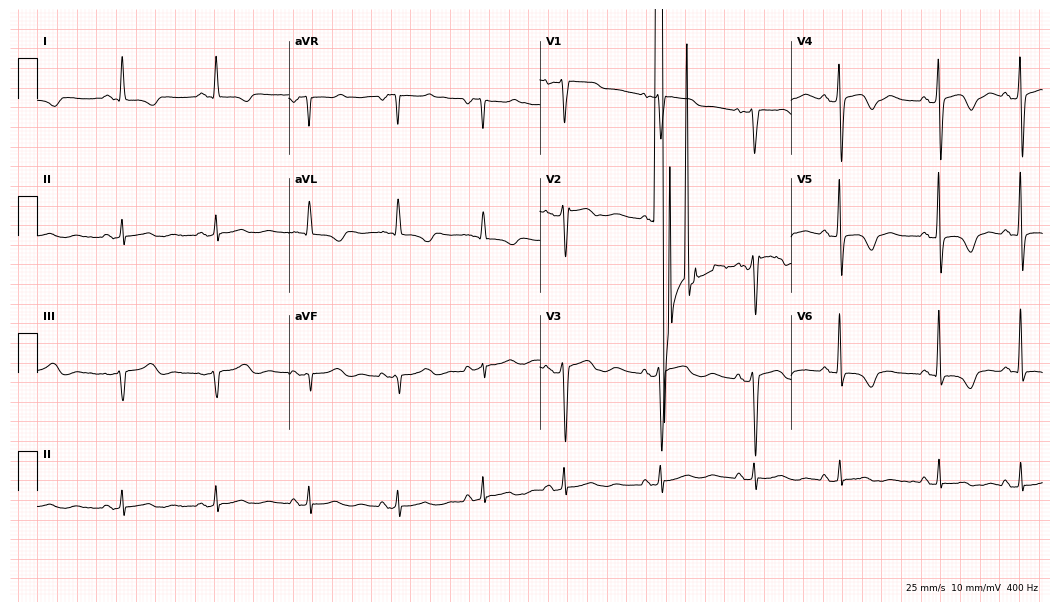
12-lead ECG from a female patient, 66 years old (10.2-second recording at 400 Hz). No first-degree AV block, right bundle branch block, left bundle branch block, sinus bradycardia, atrial fibrillation or sinus tachycardia recorded for this tracing. Only these six findings were labelled.